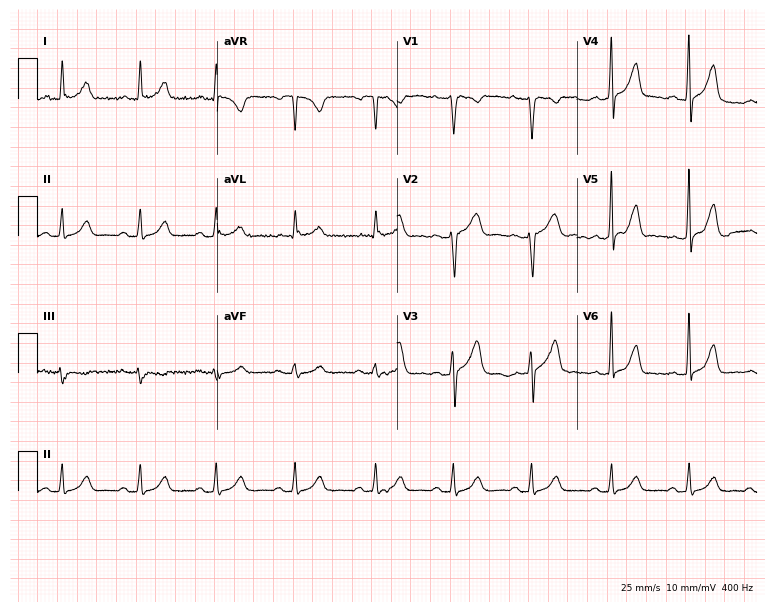
ECG (7.3-second recording at 400 Hz) — a 32-year-old female. Labelled as a normal ECG.